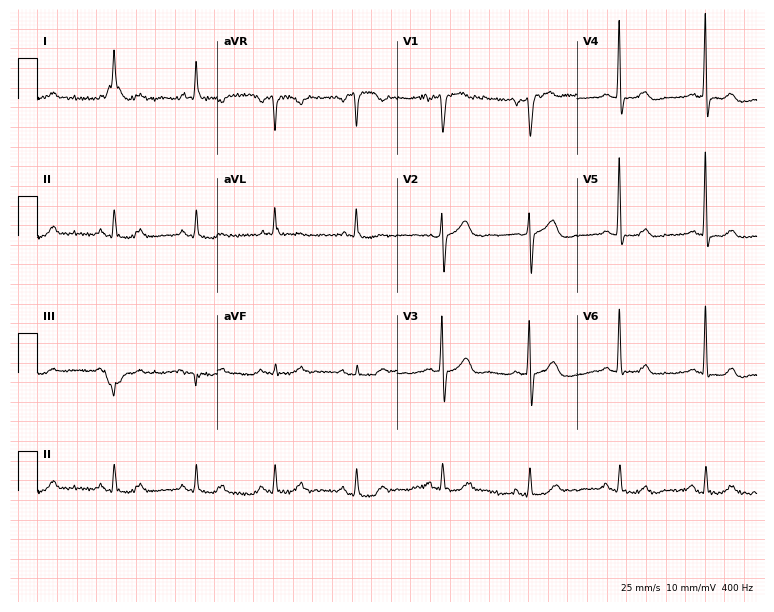
Electrocardiogram, a male patient, 63 years old. Overall reading on record: normal ECG.